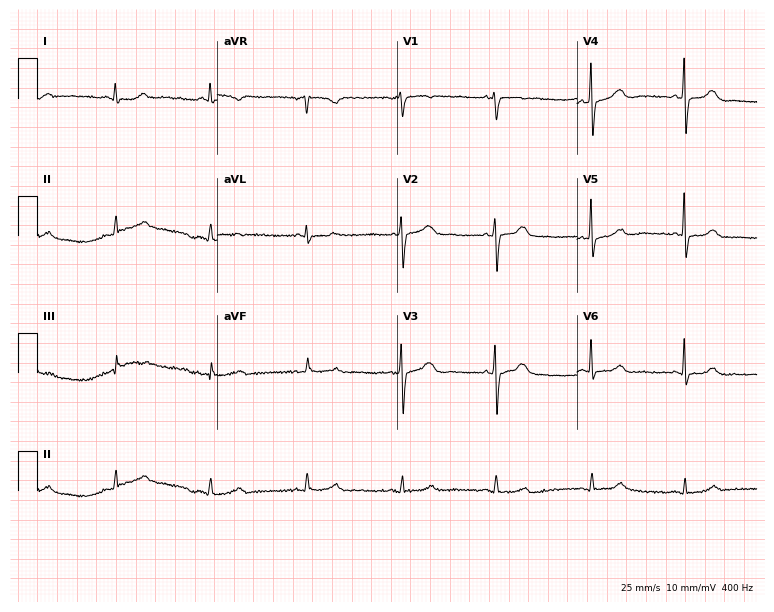
Resting 12-lead electrocardiogram. Patient: a 51-year-old female. Read as a normal ECG.